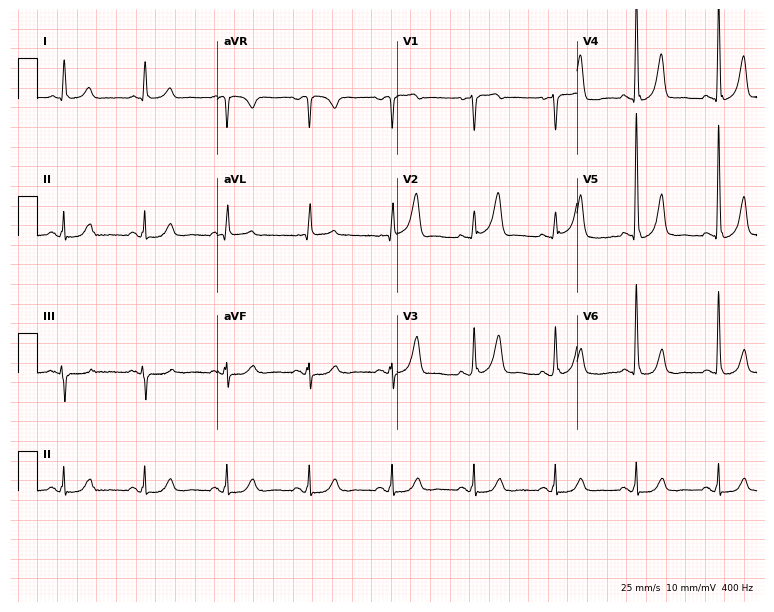
12-lead ECG from a male patient, 70 years old. Screened for six findings — first-degree AV block, right bundle branch block (RBBB), left bundle branch block (LBBB), sinus bradycardia, atrial fibrillation (AF), sinus tachycardia — none is recorded. Only these six findings were labelled.